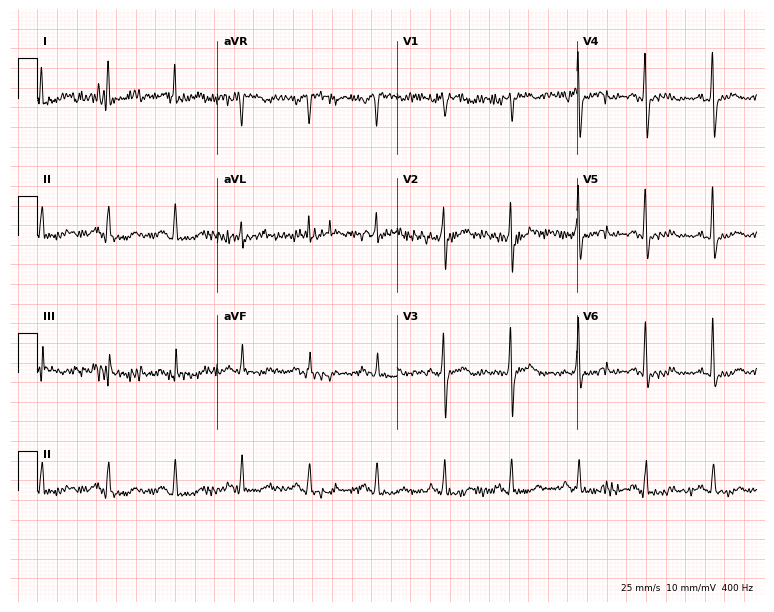
ECG — a female, 76 years old. Screened for six findings — first-degree AV block, right bundle branch block, left bundle branch block, sinus bradycardia, atrial fibrillation, sinus tachycardia — none is recorded.